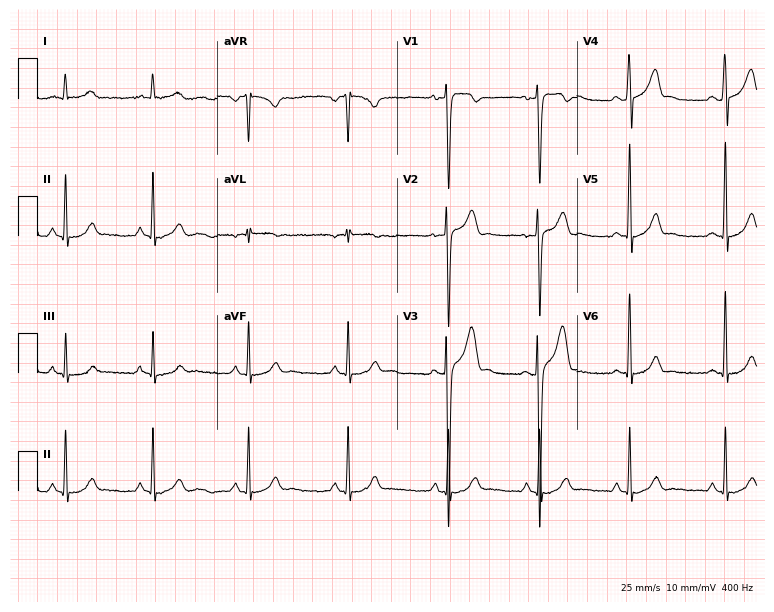
ECG — a male, 24 years old. Labelled as a normal ECG.